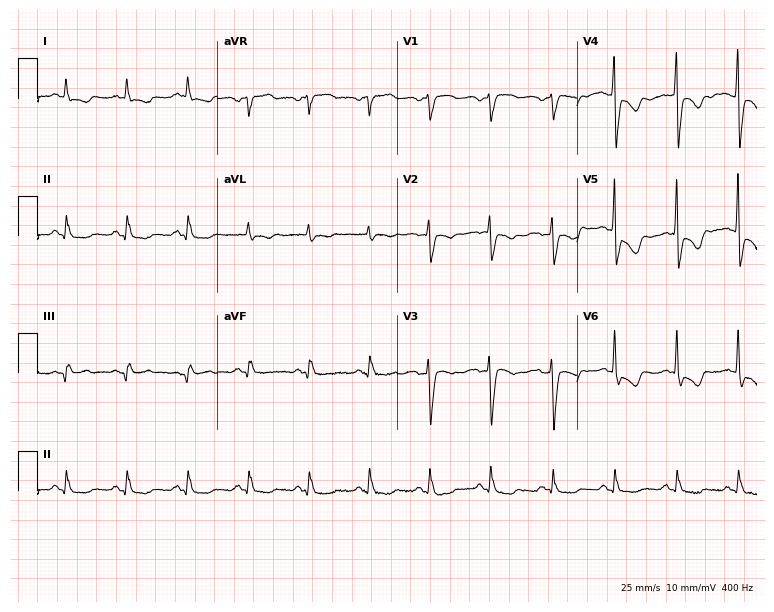
ECG (7.3-second recording at 400 Hz) — a 58-year-old female. Screened for six findings — first-degree AV block, right bundle branch block, left bundle branch block, sinus bradycardia, atrial fibrillation, sinus tachycardia — none is recorded. Only these six findings were labelled.